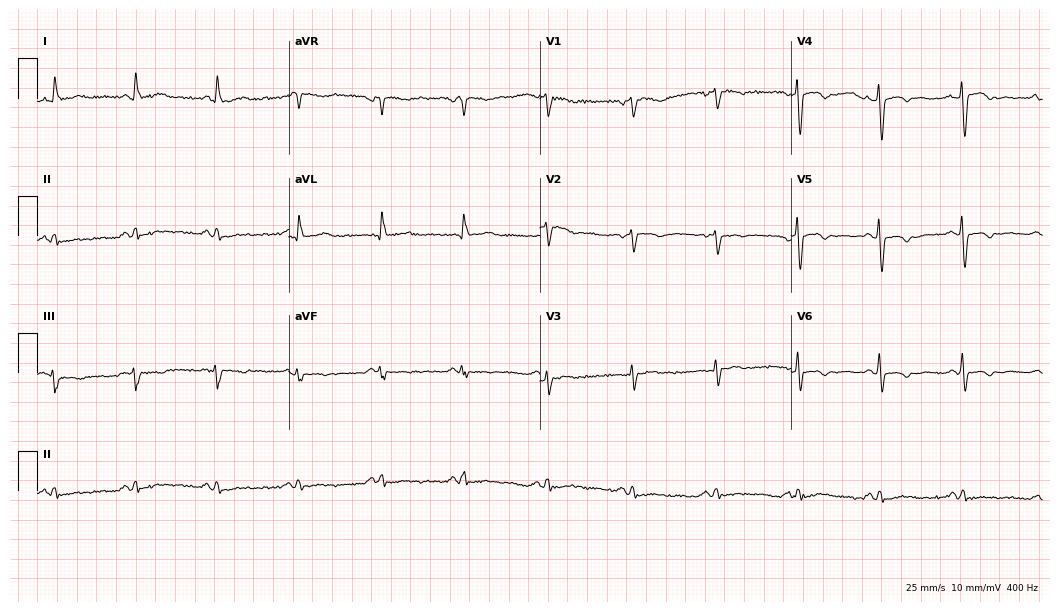
Resting 12-lead electrocardiogram (10.2-second recording at 400 Hz). Patient: a 61-year-old female. None of these six findings is recorded: first-degree AV block, right bundle branch block, left bundle branch block, sinus bradycardia, atrial fibrillation, sinus tachycardia. Findings outside these six are not listed.